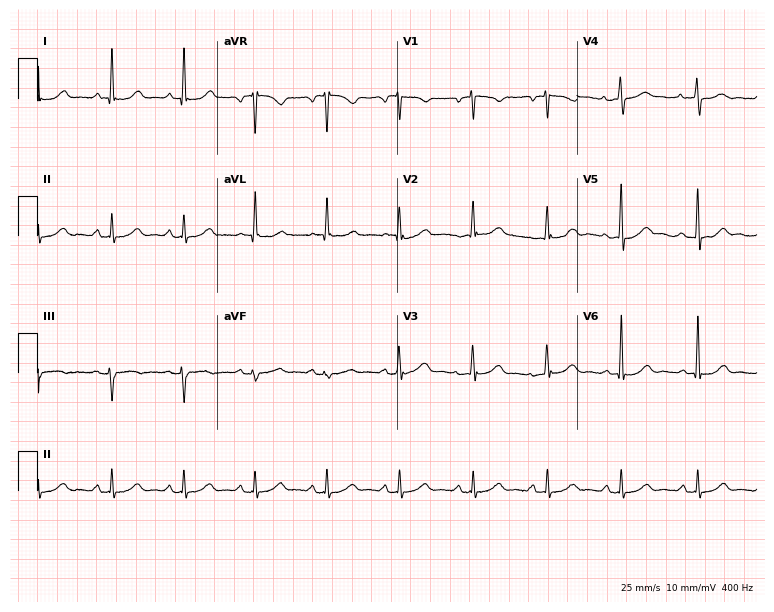
12-lead ECG (7.3-second recording at 400 Hz) from a 69-year-old woman. Labelled as a normal ECG.